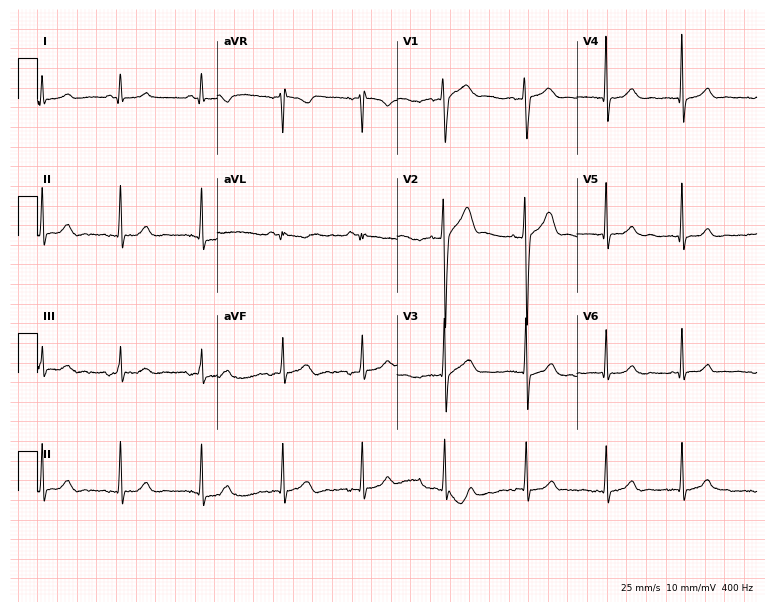
Resting 12-lead electrocardiogram (7.3-second recording at 400 Hz). Patient: a female, 26 years old. None of these six findings is recorded: first-degree AV block, right bundle branch block (RBBB), left bundle branch block (LBBB), sinus bradycardia, atrial fibrillation (AF), sinus tachycardia.